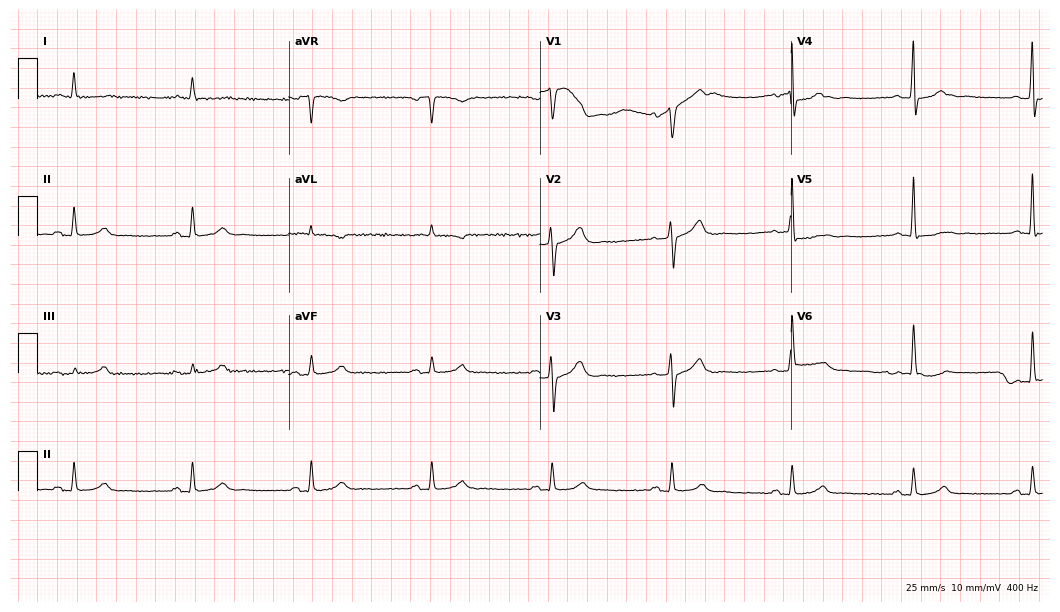
12-lead ECG (10.2-second recording at 400 Hz) from a 57-year-old male patient. Screened for six findings — first-degree AV block, right bundle branch block (RBBB), left bundle branch block (LBBB), sinus bradycardia, atrial fibrillation (AF), sinus tachycardia — none is recorded. Findings outside these six are not listed.